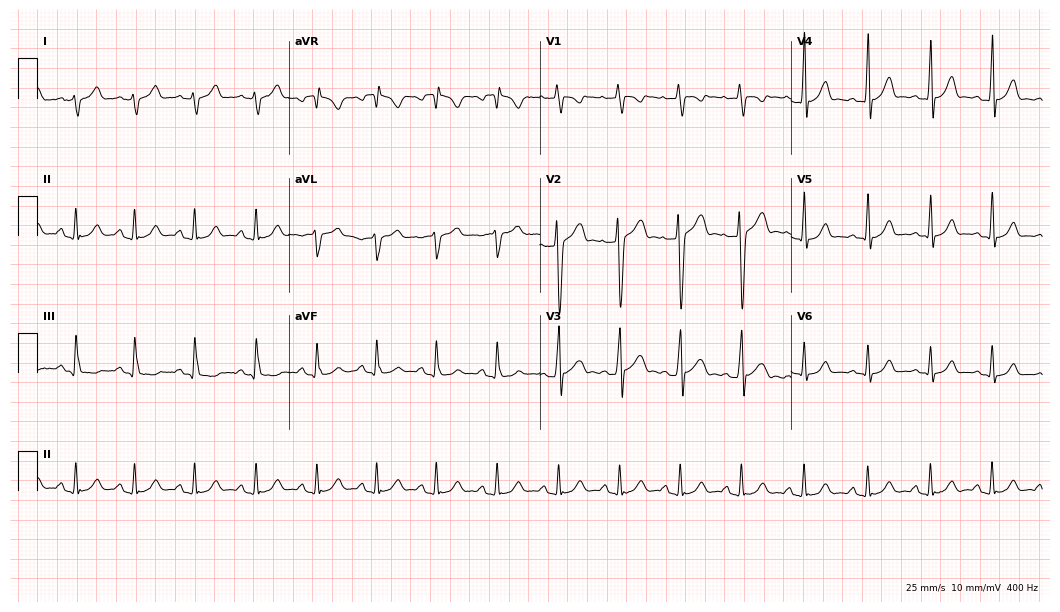
12-lead ECG (10.2-second recording at 400 Hz) from a man, 21 years old. Labelled as a normal ECG.